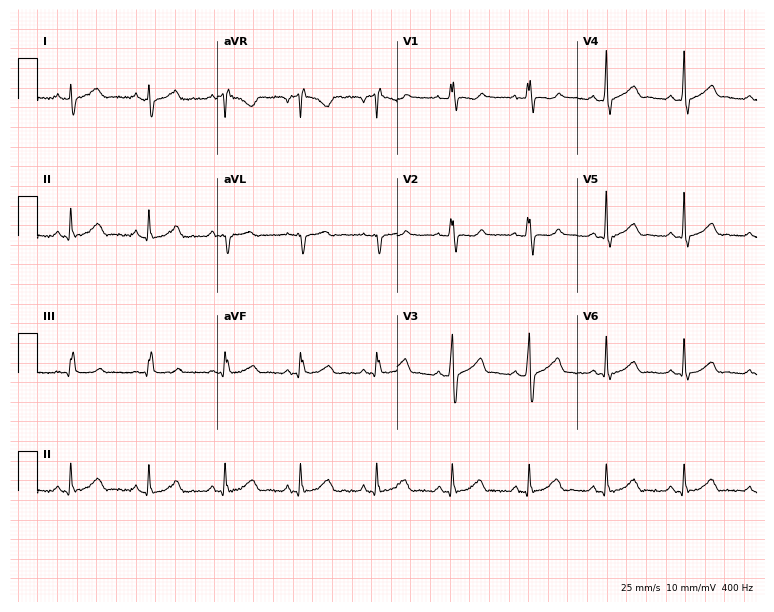
Electrocardiogram, a 33-year-old man. Overall reading on record: normal ECG.